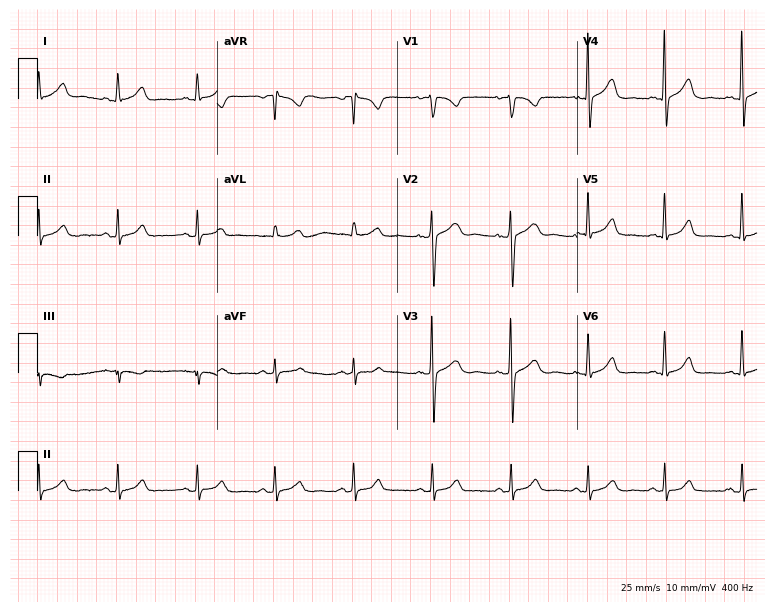
Electrocardiogram, a woman, 52 years old. Of the six screened findings (first-degree AV block, right bundle branch block, left bundle branch block, sinus bradycardia, atrial fibrillation, sinus tachycardia), none is recorded.